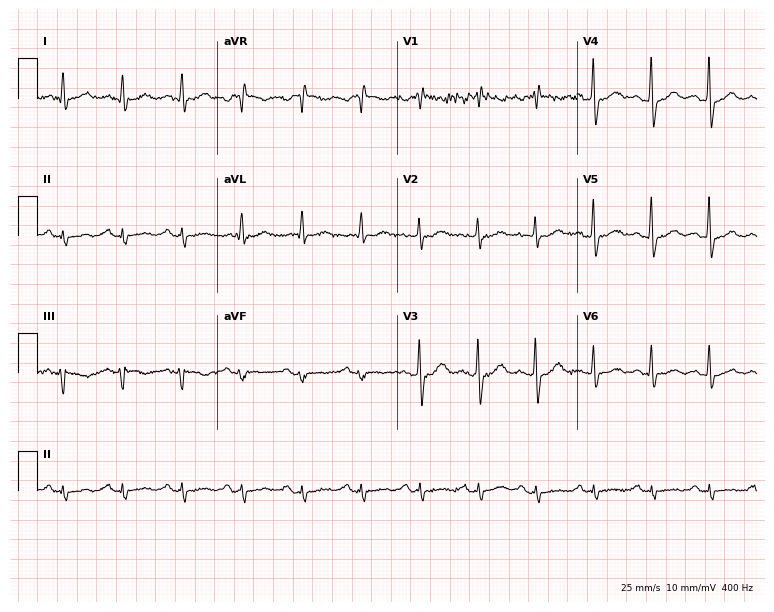
Standard 12-lead ECG recorded from a male patient, 54 years old (7.3-second recording at 400 Hz). None of these six findings is recorded: first-degree AV block, right bundle branch block, left bundle branch block, sinus bradycardia, atrial fibrillation, sinus tachycardia. Other findings, if any, are not listed.